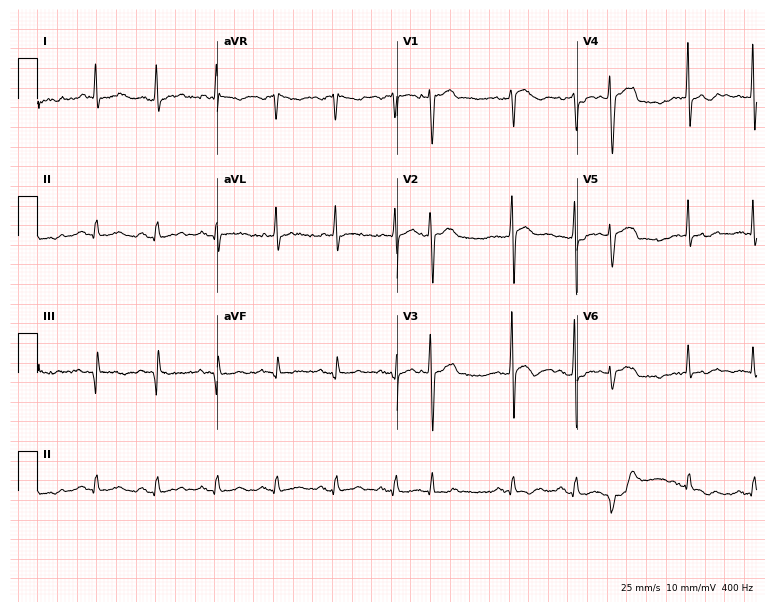
Resting 12-lead electrocardiogram (7.3-second recording at 400 Hz). Patient: an 84-year-old male. None of these six findings is recorded: first-degree AV block, right bundle branch block, left bundle branch block, sinus bradycardia, atrial fibrillation, sinus tachycardia.